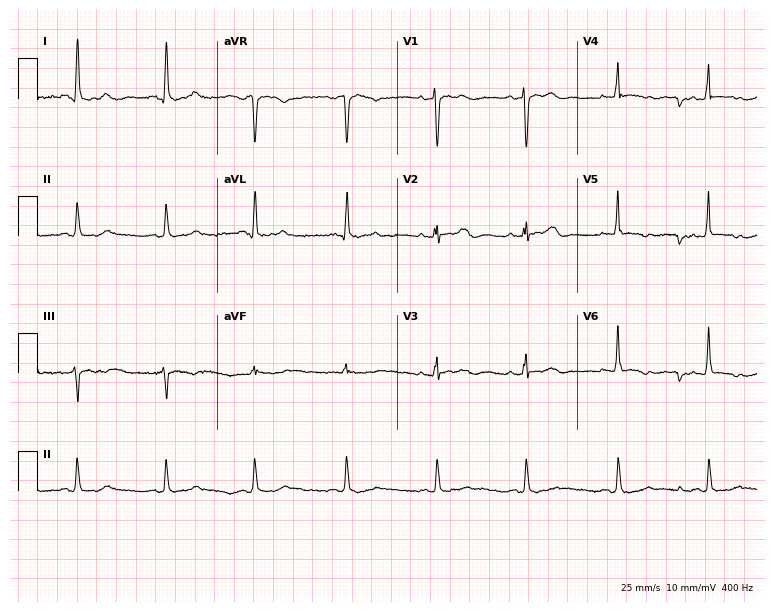
Standard 12-lead ECG recorded from a 52-year-old woman. None of these six findings is recorded: first-degree AV block, right bundle branch block, left bundle branch block, sinus bradycardia, atrial fibrillation, sinus tachycardia.